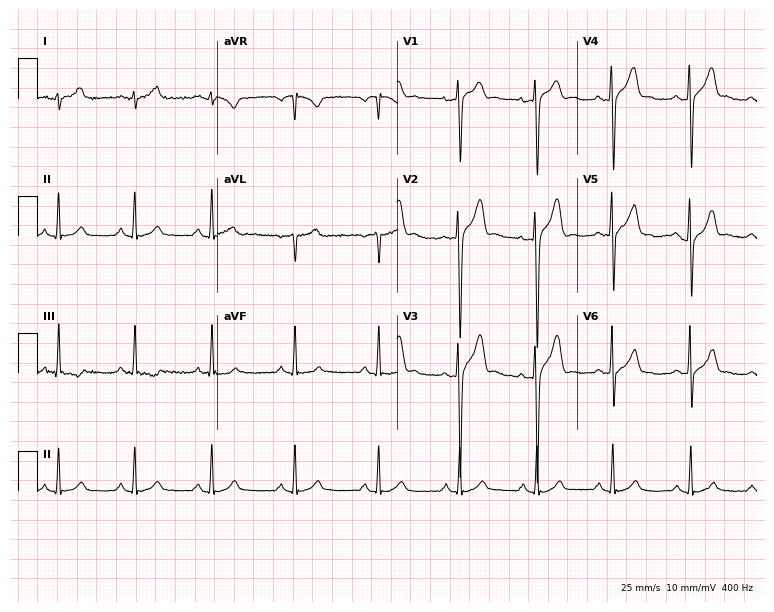
ECG (7.3-second recording at 400 Hz) — a 23-year-old male patient. Screened for six findings — first-degree AV block, right bundle branch block, left bundle branch block, sinus bradycardia, atrial fibrillation, sinus tachycardia — none is recorded. Findings outside these six are not listed.